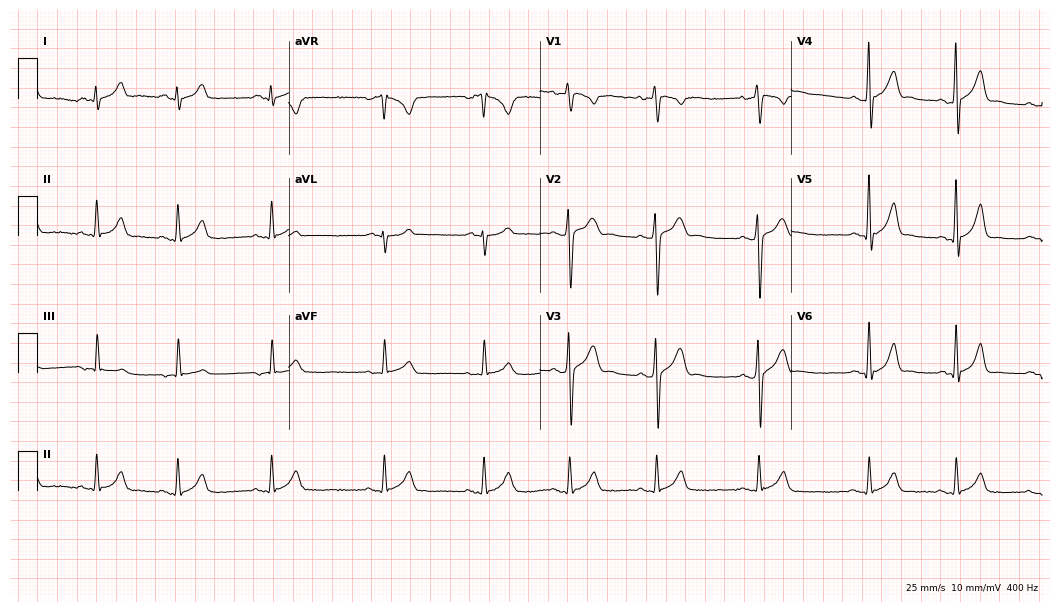
12-lead ECG from a male patient, 23 years old. Recorded interpretation: within normal limits.